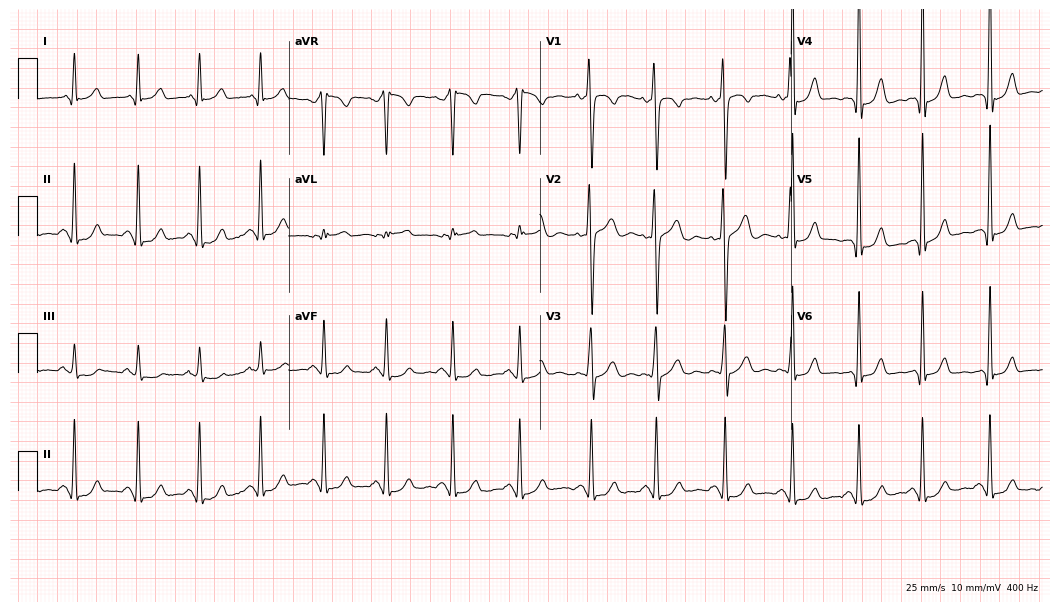
ECG (10.2-second recording at 400 Hz) — a 28-year-old male patient. Screened for six findings — first-degree AV block, right bundle branch block (RBBB), left bundle branch block (LBBB), sinus bradycardia, atrial fibrillation (AF), sinus tachycardia — none is recorded. Other findings, if any, are not listed.